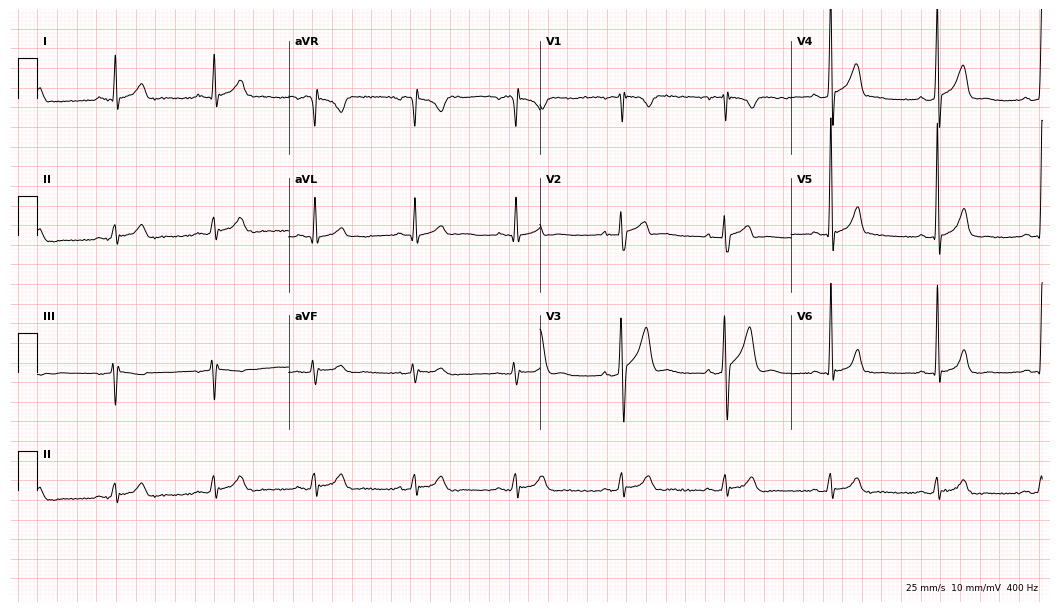
Resting 12-lead electrocardiogram. Patient: a male, 39 years old. Read as a normal ECG.